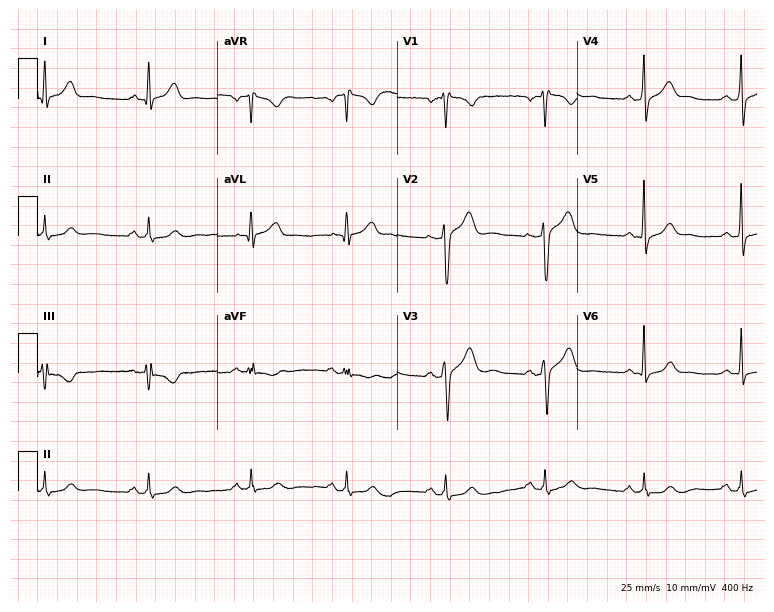
Resting 12-lead electrocardiogram (7.3-second recording at 400 Hz). Patient: a male, 44 years old. Read as a normal ECG.